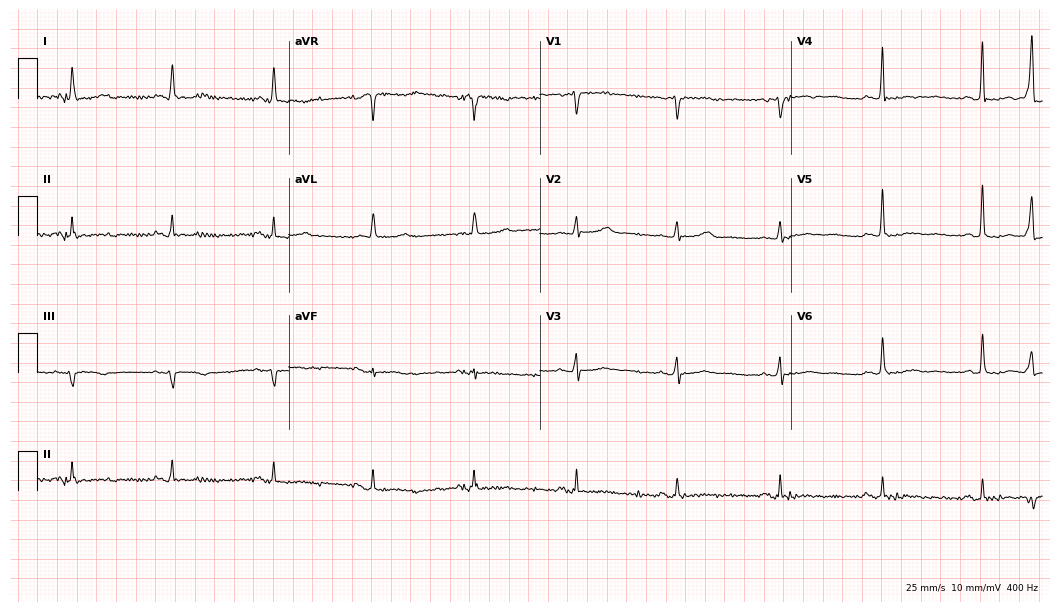
Electrocardiogram (10.2-second recording at 400 Hz), a 67-year-old female patient. Of the six screened findings (first-degree AV block, right bundle branch block (RBBB), left bundle branch block (LBBB), sinus bradycardia, atrial fibrillation (AF), sinus tachycardia), none is recorded. Only these six findings were labelled.